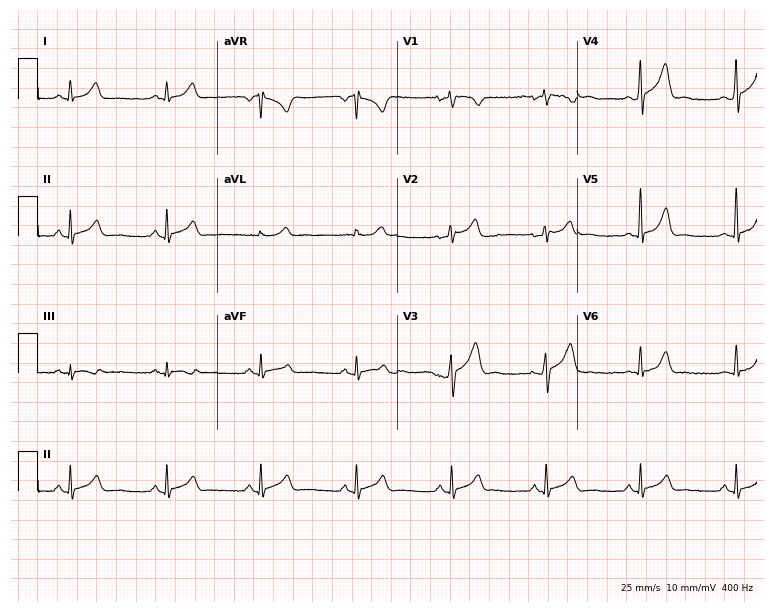
Resting 12-lead electrocardiogram. Patient: a 35-year-old male. None of these six findings is recorded: first-degree AV block, right bundle branch block, left bundle branch block, sinus bradycardia, atrial fibrillation, sinus tachycardia. Other findings, if any, are not listed.